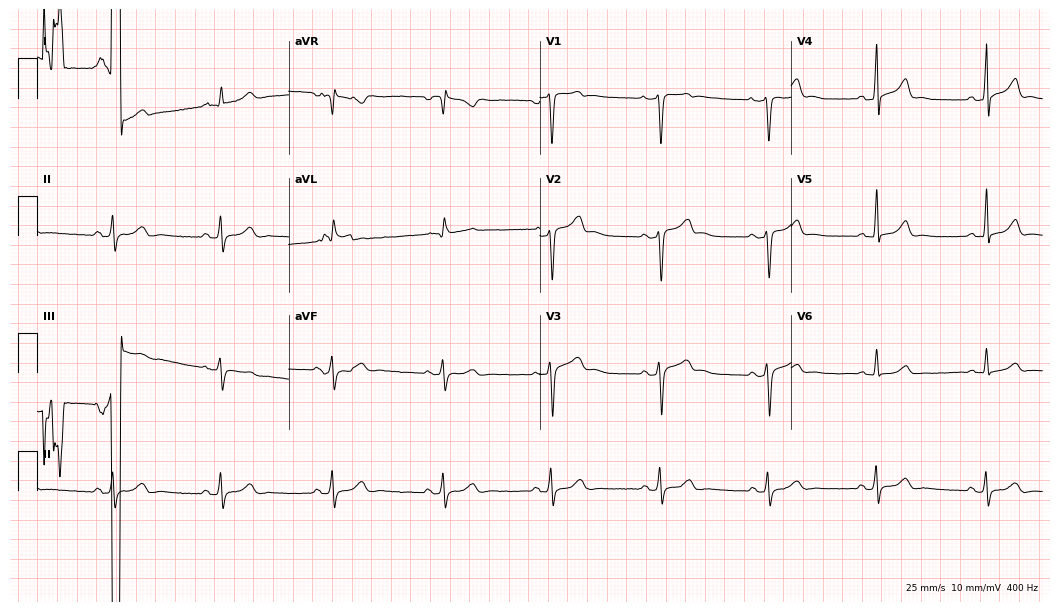
Standard 12-lead ECG recorded from a male patient, 45 years old. Read as a normal ECG.